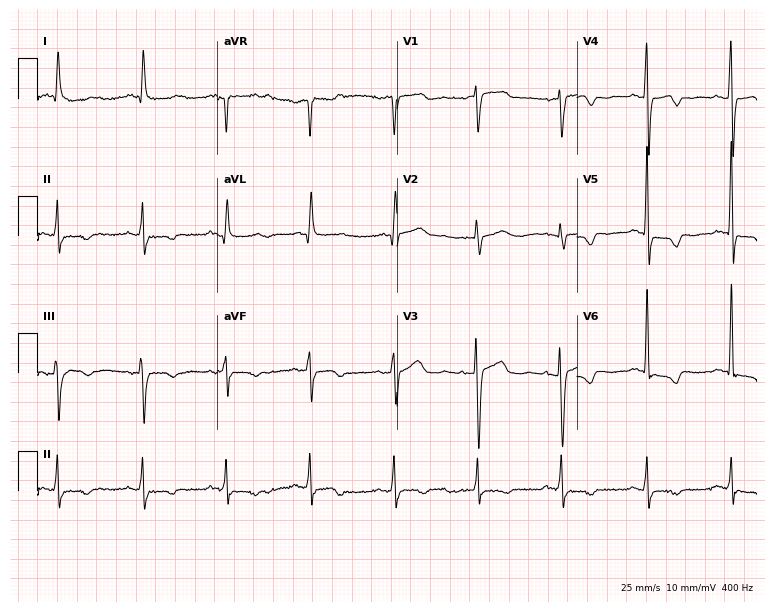
Standard 12-lead ECG recorded from an 82-year-old woman. None of these six findings is recorded: first-degree AV block, right bundle branch block, left bundle branch block, sinus bradycardia, atrial fibrillation, sinus tachycardia.